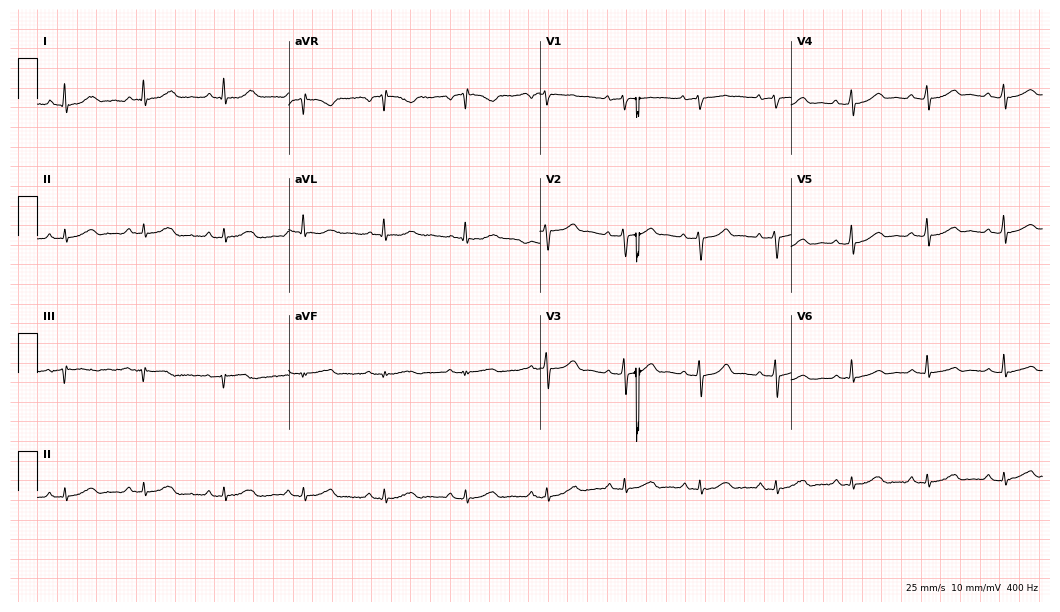
Electrocardiogram, a male, 52 years old. Of the six screened findings (first-degree AV block, right bundle branch block (RBBB), left bundle branch block (LBBB), sinus bradycardia, atrial fibrillation (AF), sinus tachycardia), none is recorded.